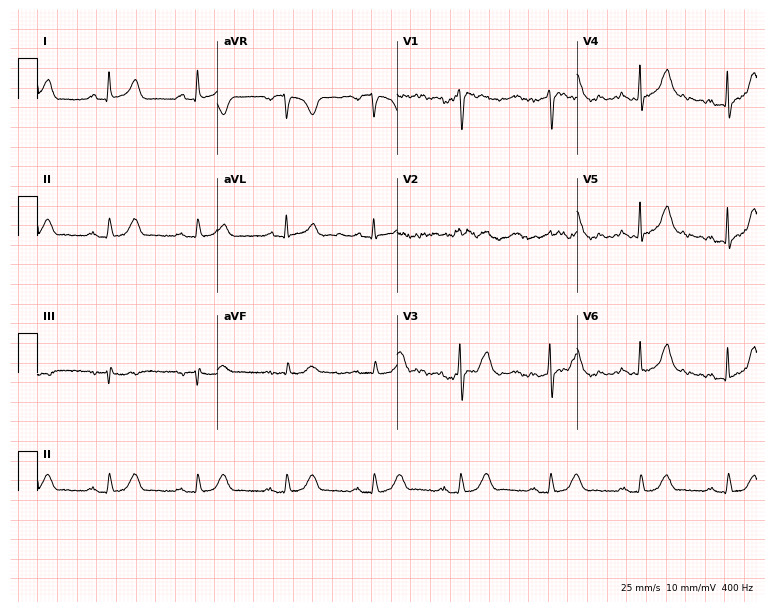
Electrocardiogram (7.3-second recording at 400 Hz), a 66-year-old female patient. Of the six screened findings (first-degree AV block, right bundle branch block (RBBB), left bundle branch block (LBBB), sinus bradycardia, atrial fibrillation (AF), sinus tachycardia), none is recorded.